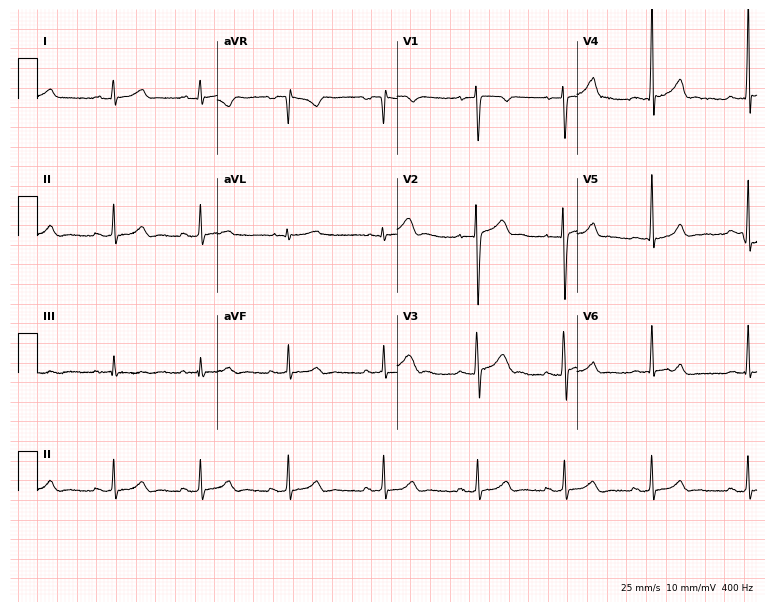
Electrocardiogram, a 17-year-old male patient. Overall reading on record: normal ECG.